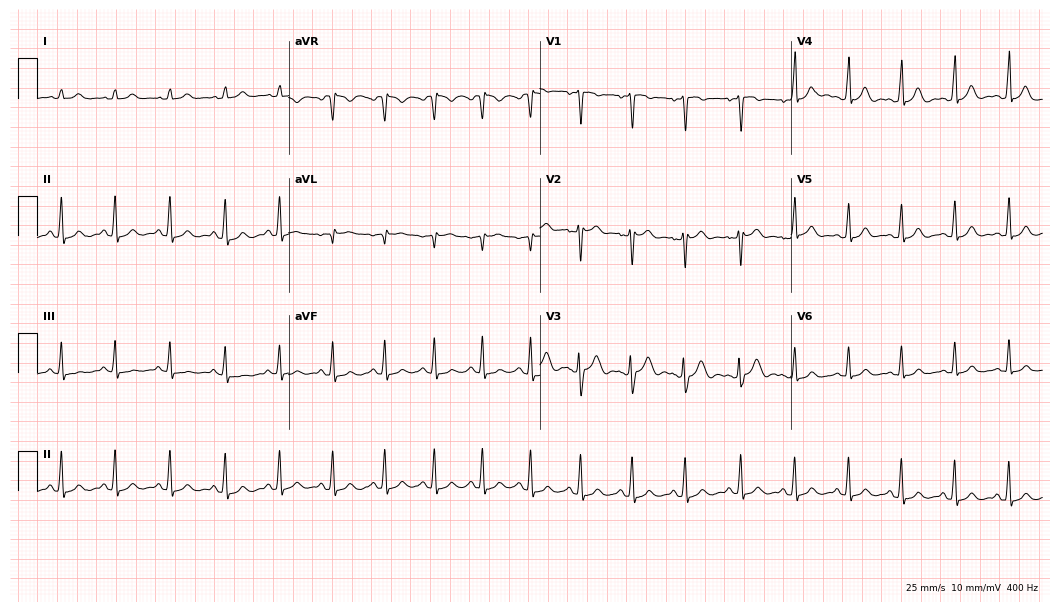
12-lead ECG from a 20-year-old female (10.2-second recording at 400 Hz). Shows sinus tachycardia (a sinus rate of 100 beats per minute or more).